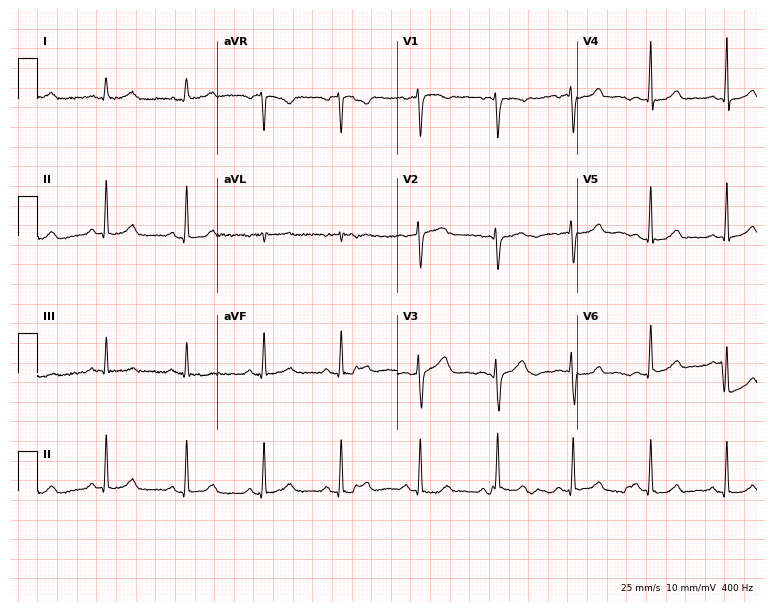
12-lead ECG from a 37-year-old female patient (7.3-second recording at 400 Hz). Recorded interpretation: within normal limits.